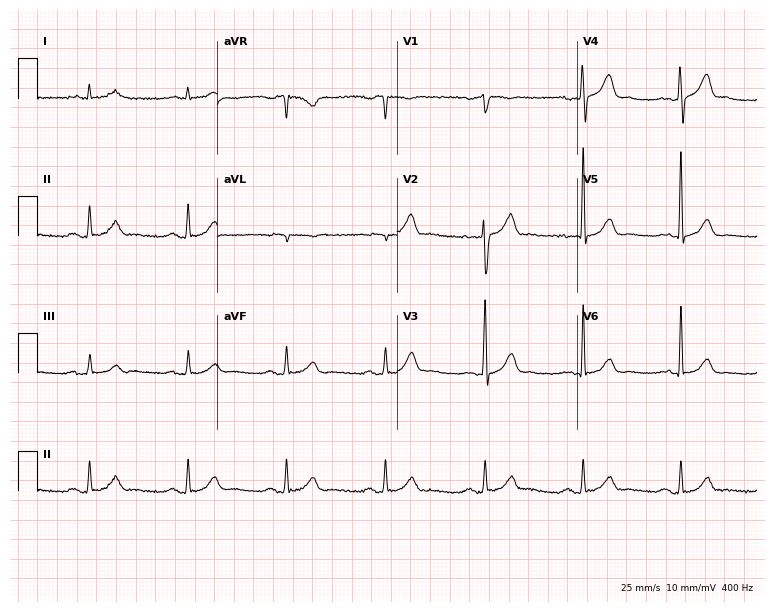
ECG (7.3-second recording at 400 Hz) — a man, 65 years old. Labelled as a normal ECG.